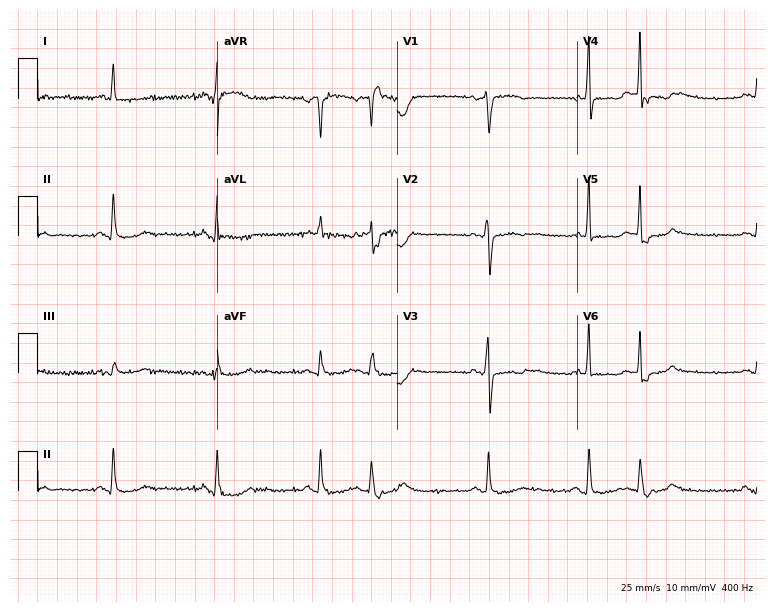
Electrocardiogram (7.3-second recording at 400 Hz), a 65-year-old woman. Of the six screened findings (first-degree AV block, right bundle branch block, left bundle branch block, sinus bradycardia, atrial fibrillation, sinus tachycardia), none is recorded.